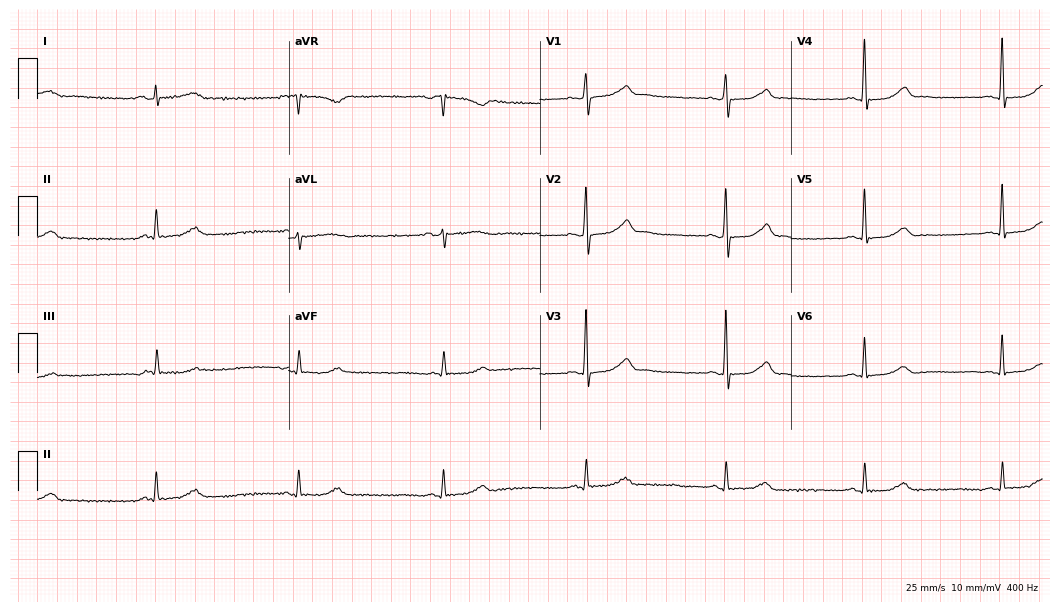
Standard 12-lead ECG recorded from a female patient, 67 years old. The tracing shows sinus bradycardia (a sinus rate of 50 beats per minute or less).